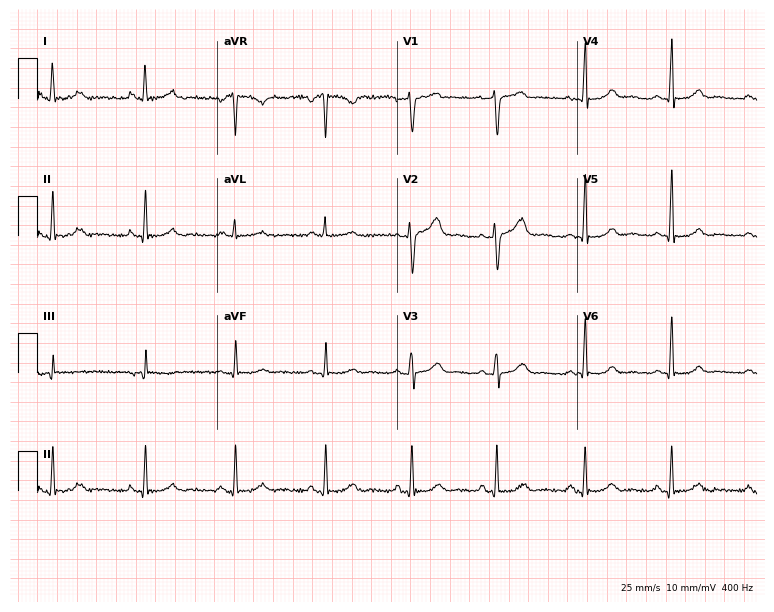
ECG — a female, 51 years old. Labelled as a normal ECG.